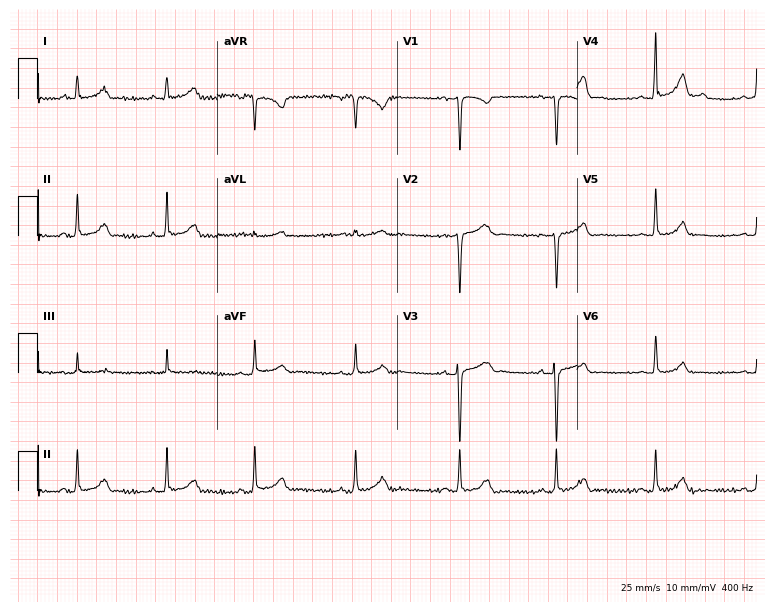
Resting 12-lead electrocardiogram. Patient: a female, 33 years old. None of these six findings is recorded: first-degree AV block, right bundle branch block (RBBB), left bundle branch block (LBBB), sinus bradycardia, atrial fibrillation (AF), sinus tachycardia.